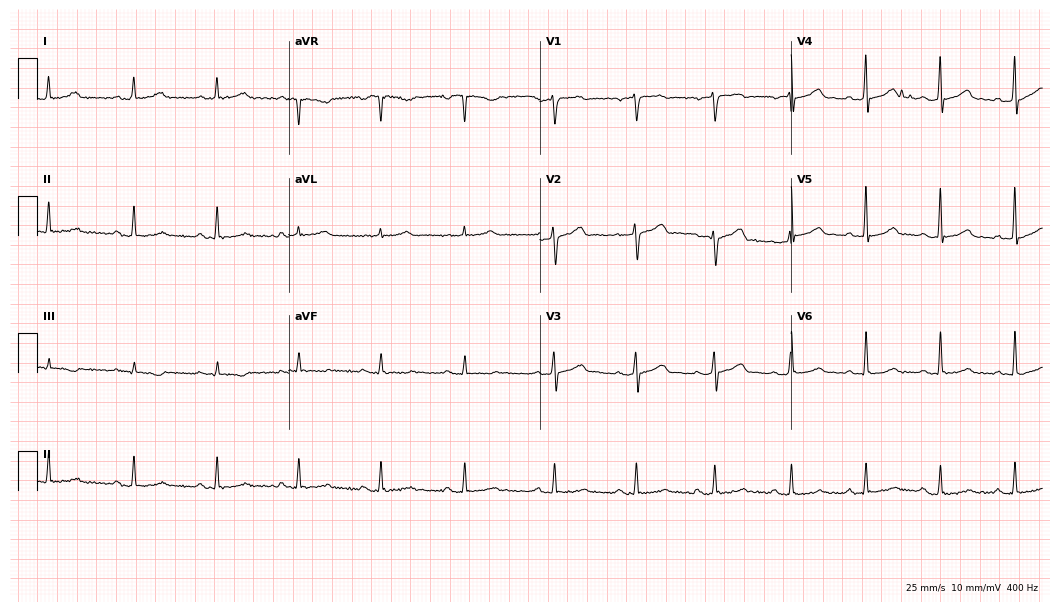
12-lead ECG from a 35-year-old male patient. Recorded interpretation: within normal limits.